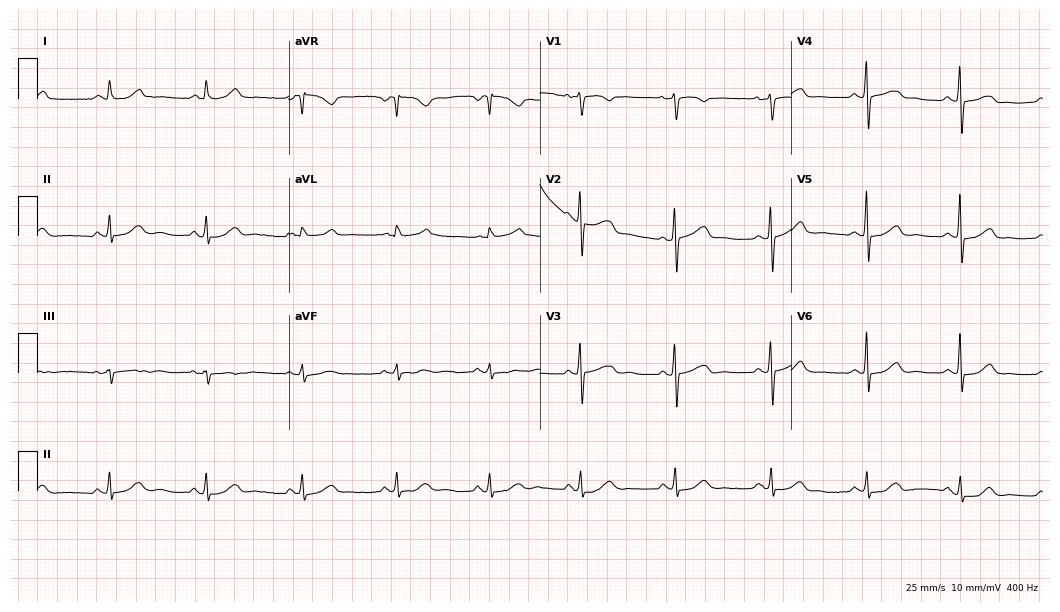
ECG (10.2-second recording at 400 Hz) — a 53-year-old female. Labelled as a normal ECG.